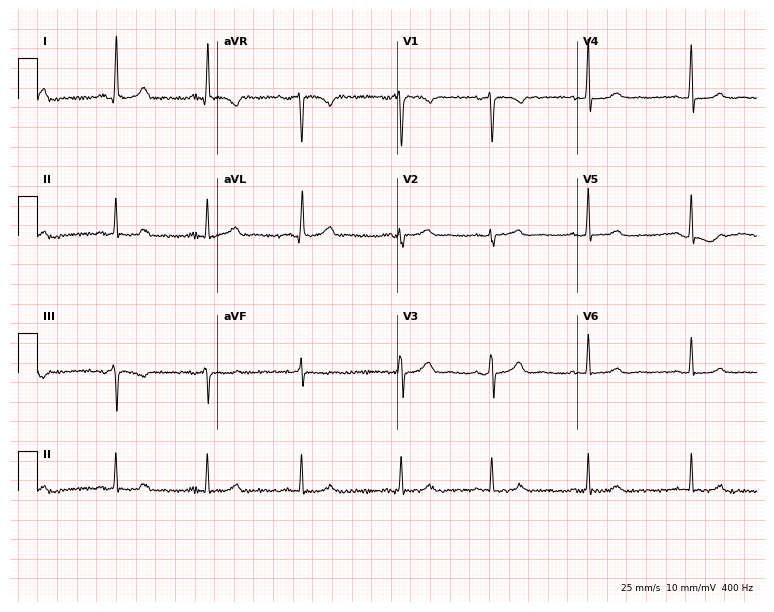
Standard 12-lead ECG recorded from a 31-year-old woman. None of these six findings is recorded: first-degree AV block, right bundle branch block (RBBB), left bundle branch block (LBBB), sinus bradycardia, atrial fibrillation (AF), sinus tachycardia.